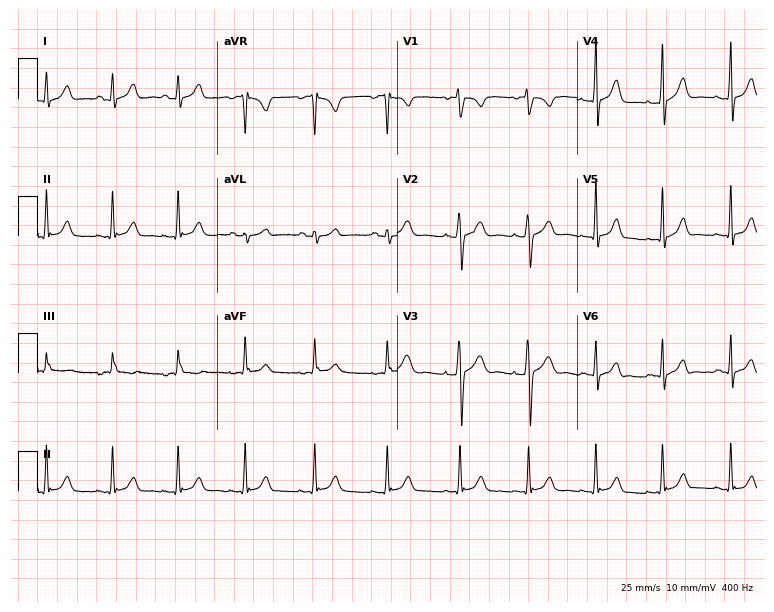
ECG — a female, 19 years old. Labelled as a normal ECG.